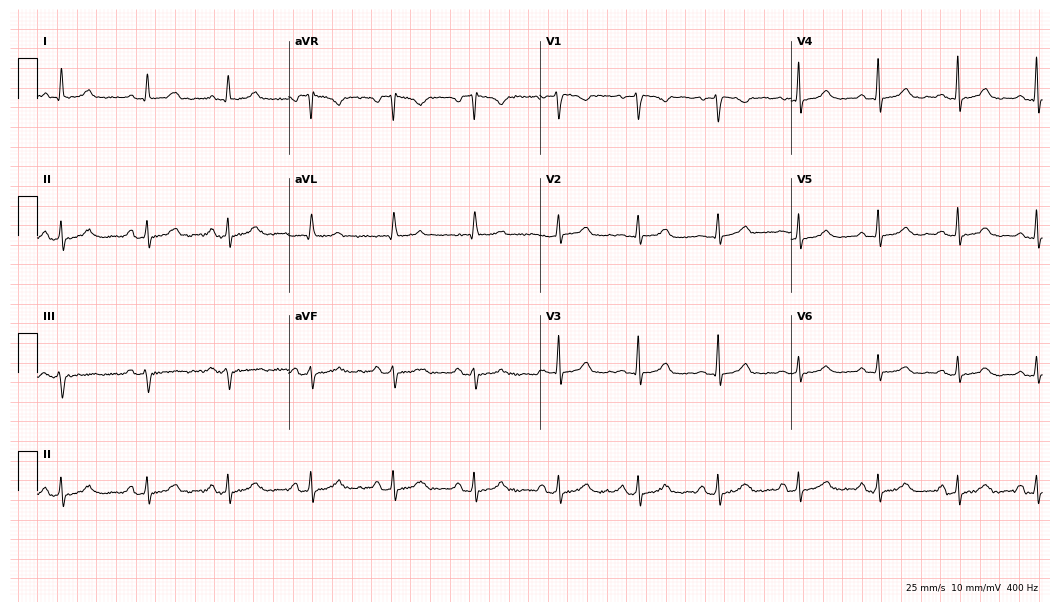
Standard 12-lead ECG recorded from a 38-year-old female patient (10.2-second recording at 400 Hz). Read as a normal ECG.